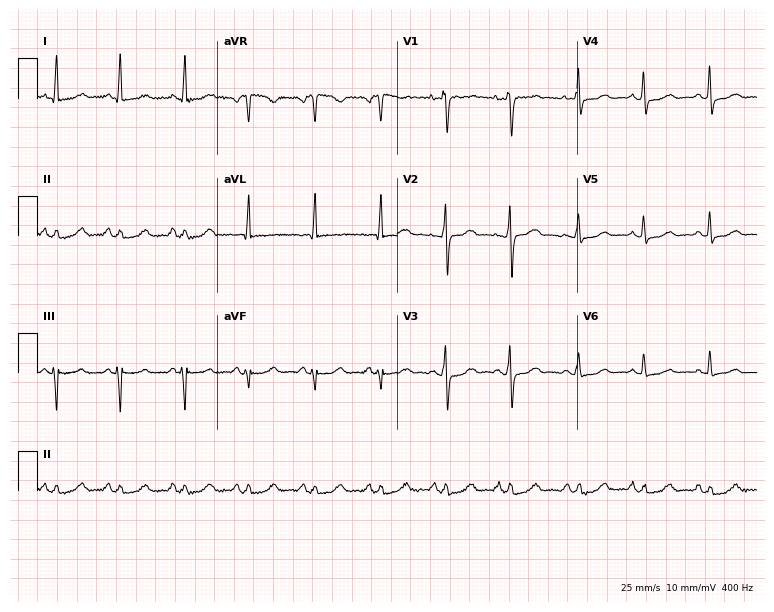
Standard 12-lead ECG recorded from a female patient, 37 years old. None of these six findings is recorded: first-degree AV block, right bundle branch block, left bundle branch block, sinus bradycardia, atrial fibrillation, sinus tachycardia.